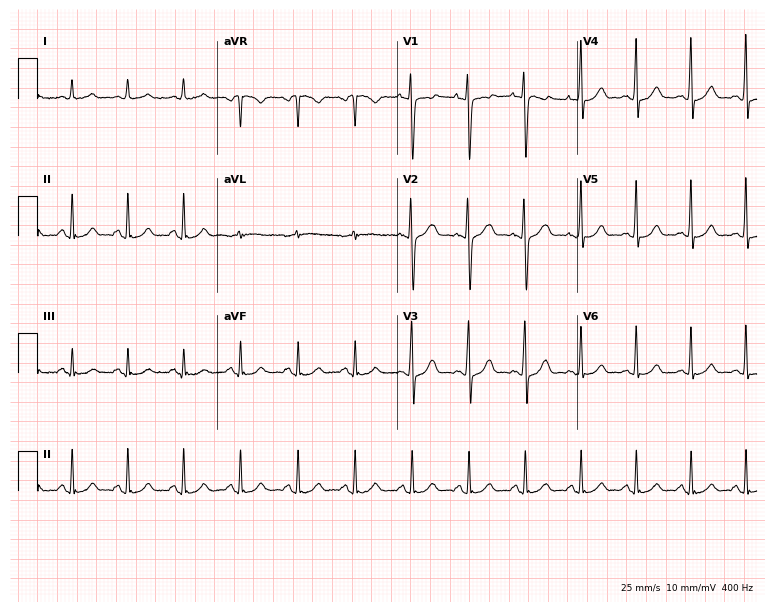
12-lead ECG from a 30-year-old female (7.3-second recording at 400 Hz). Shows sinus tachycardia (a sinus rate of 100 beats per minute or more).